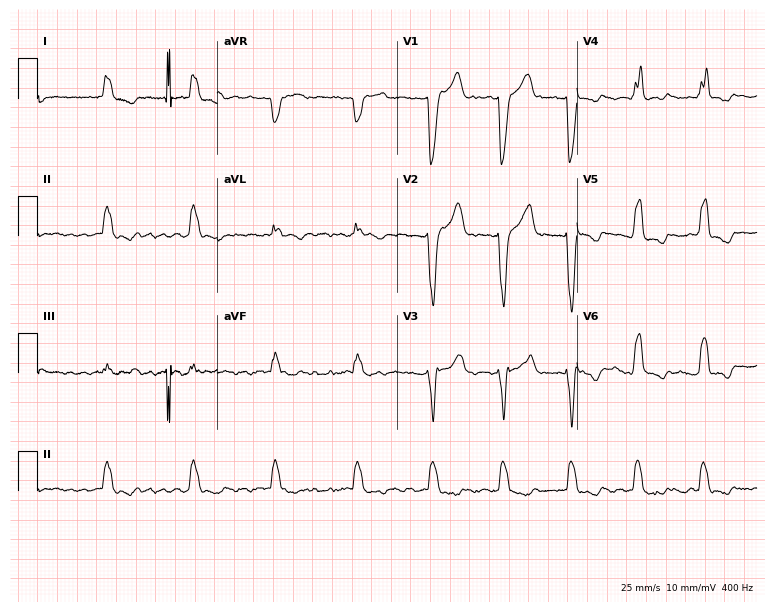
12-lead ECG from a 72-year-old male patient. Findings include left bundle branch block, atrial fibrillation.